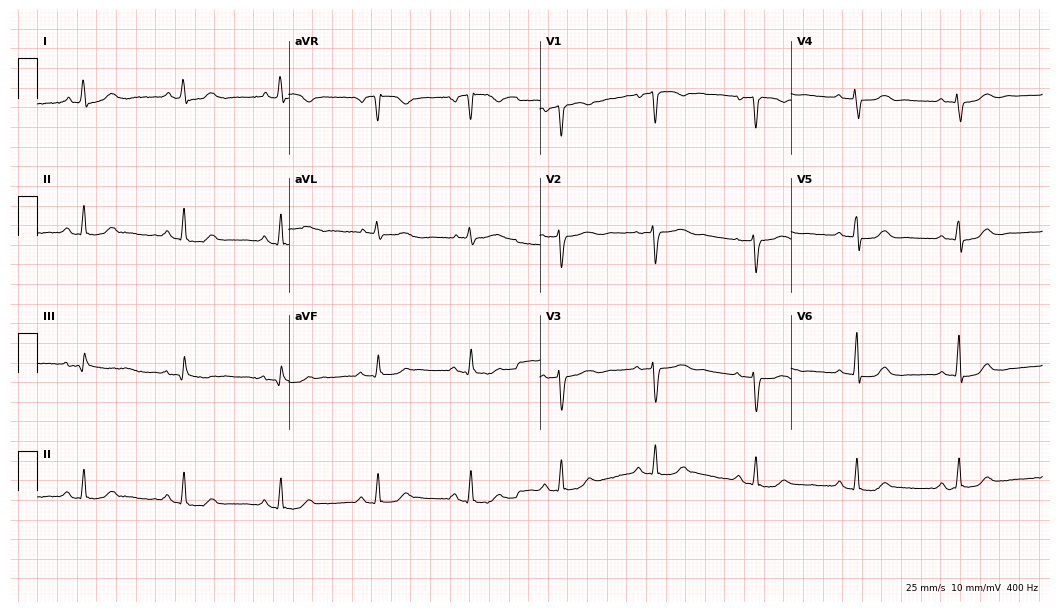
Standard 12-lead ECG recorded from a woman, 70 years old (10.2-second recording at 400 Hz). Read as a normal ECG.